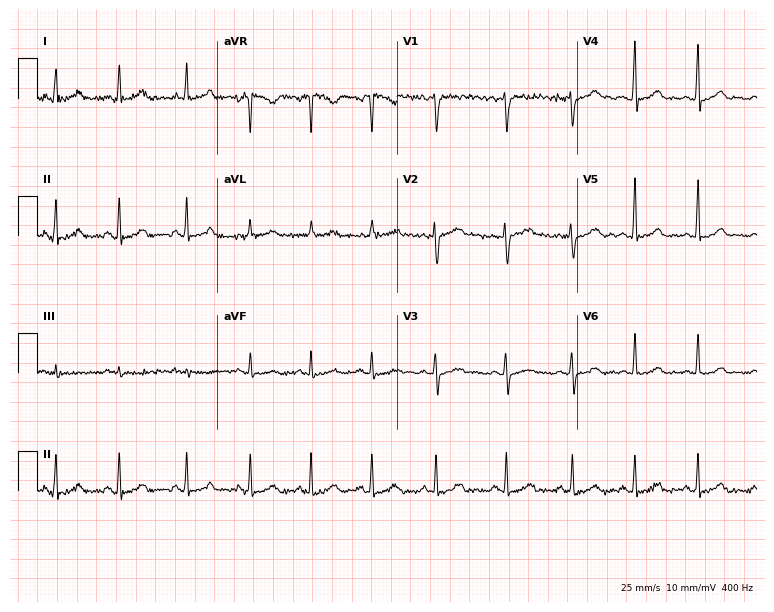
Electrocardiogram, a 30-year-old female. Of the six screened findings (first-degree AV block, right bundle branch block (RBBB), left bundle branch block (LBBB), sinus bradycardia, atrial fibrillation (AF), sinus tachycardia), none is recorded.